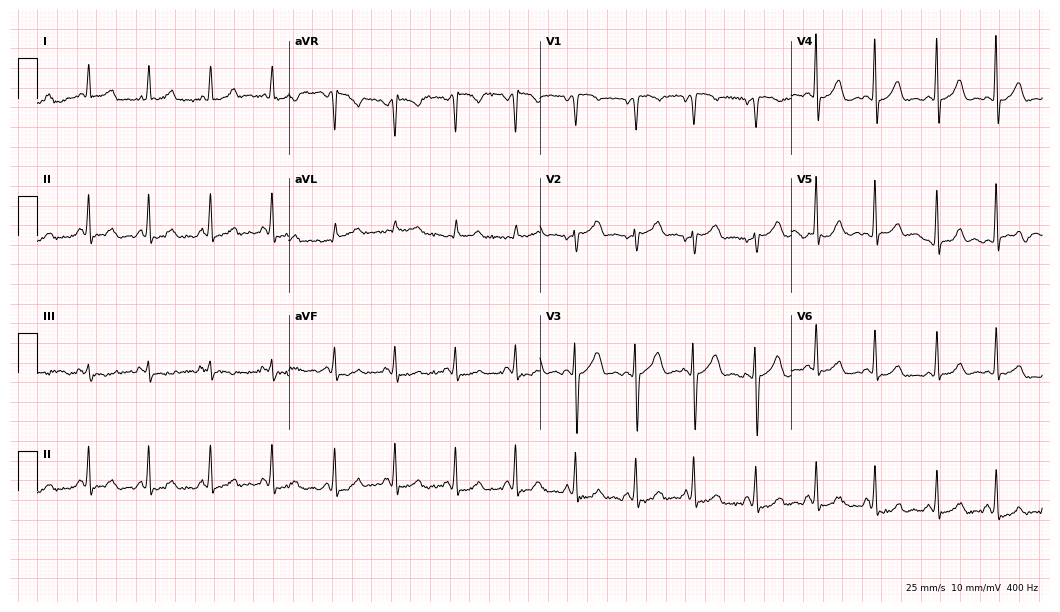
ECG (10.2-second recording at 400 Hz) — a 28-year-old female patient. Screened for six findings — first-degree AV block, right bundle branch block, left bundle branch block, sinus bradycardia, atrial fibrillation, sinus tachycardia — none is recorded.